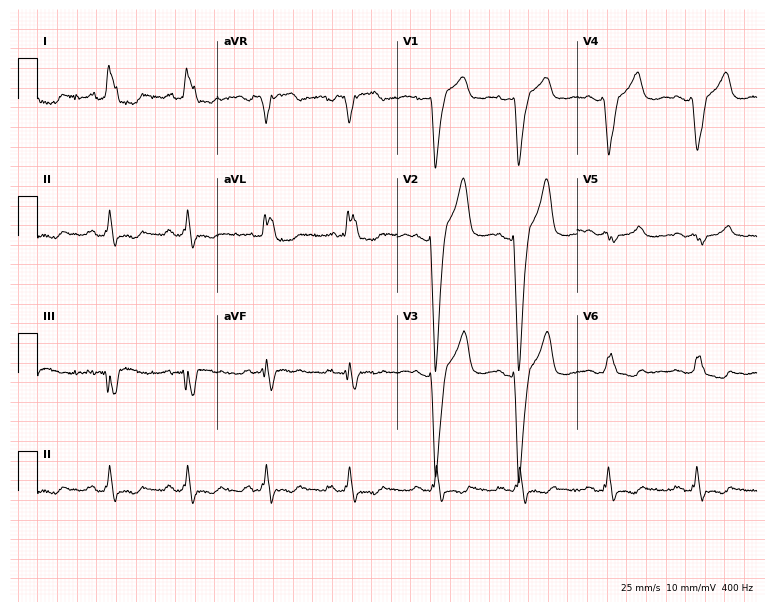
Standard 12-lead ECG recorded from a female patient, 44 years old (7.3-second recording at 400 Hz). The tracing shows left bundle branch block.